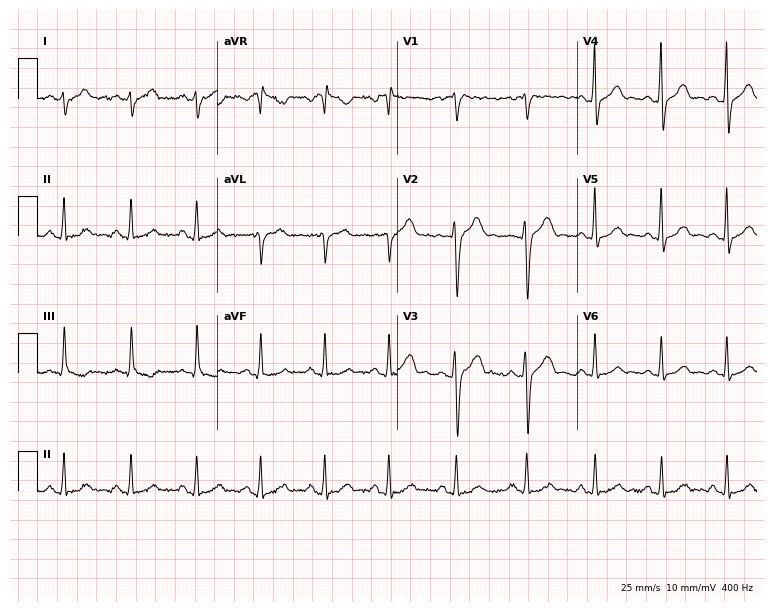
Electrocardiogram (7.3-second recording at 400 Hz), a male patient, 33 years old. Overall reading on record: normal ECG.